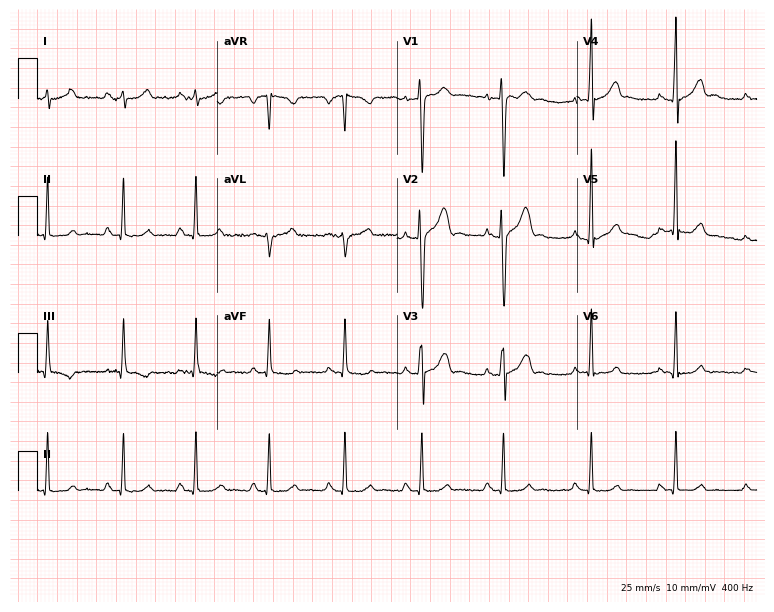
12-lead ECG from a 26-year-old male (7.3-second recording at 400 Hz). No first-degree AV block, right bundle branch block, left bundle branch block, sinus bradycardia, atrial fibrillation or sinus tachycardia recorded for this tracing.